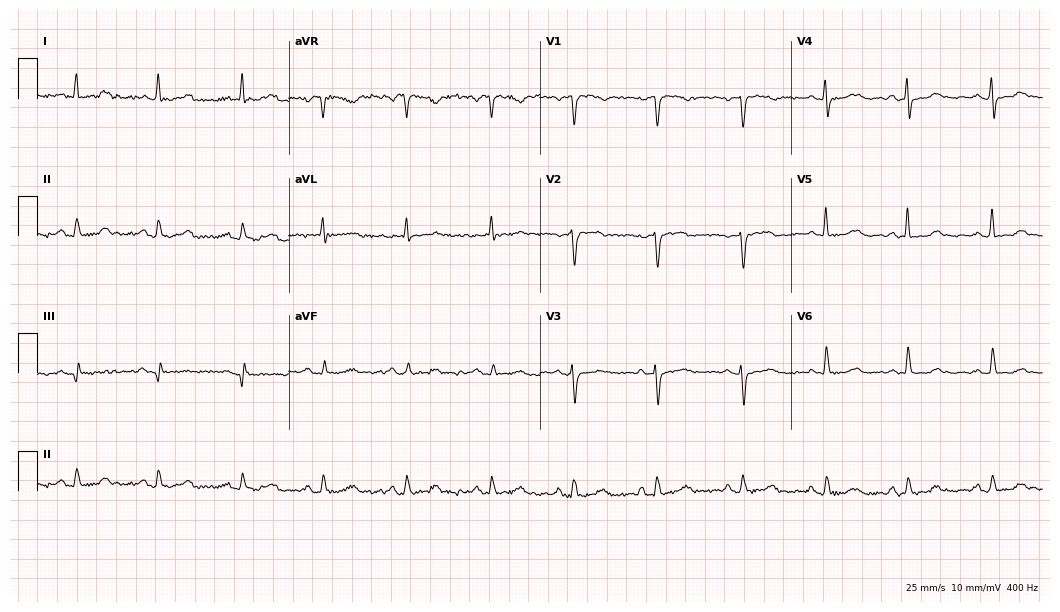
12-lead ECG from a female aged 90 or older (10.2-second recording at 400 Hz). No first-degree AV block, right bundle branch block, left bundle branch block, sinus bradycardia, atrial fibrillation or sinus tachycardia recorded for this tracing. Only these six findings were labelled.